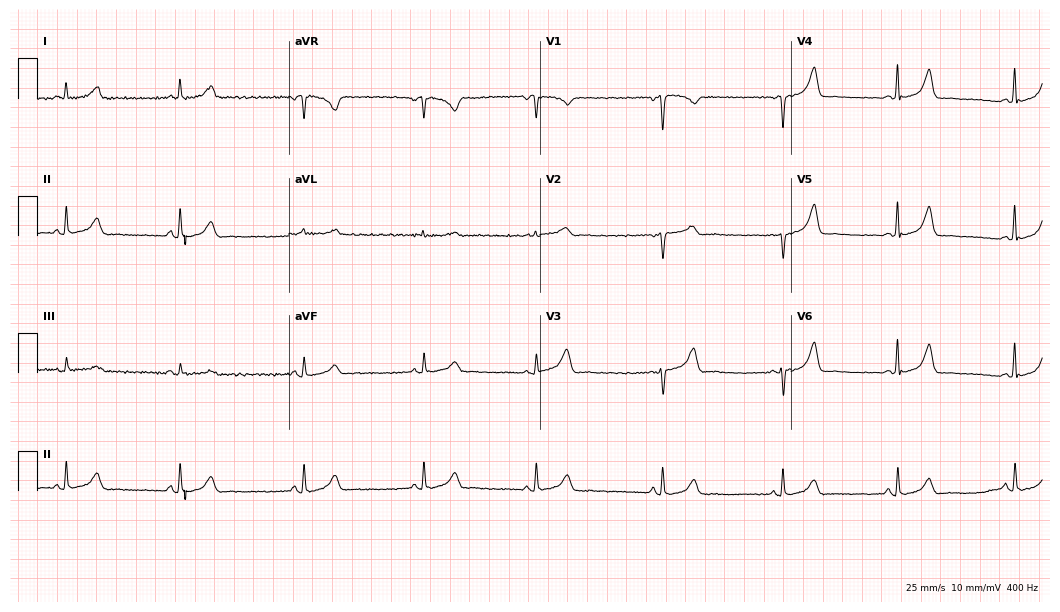
12-lead ECG from a female, 48 years old. Findings include sinus bradycardia (a sinus rate of 50 beats per minute or less).